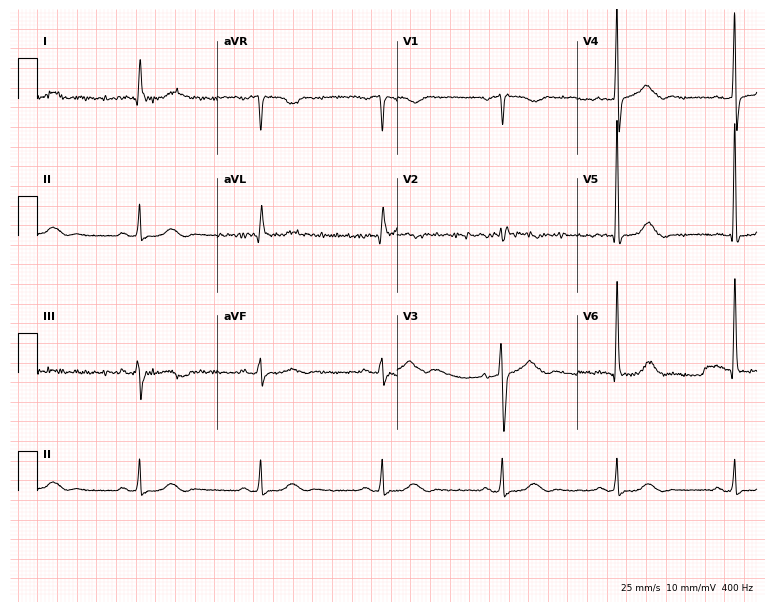
Resting 12-lead electrocardiogram. Patient: a man, 82 years old. None of these six findings is recorded: first-degree AV block, right bundle branch block, left bundle branch block, sinus bradycardia, atrial fibrillation, sinus tachycardia.